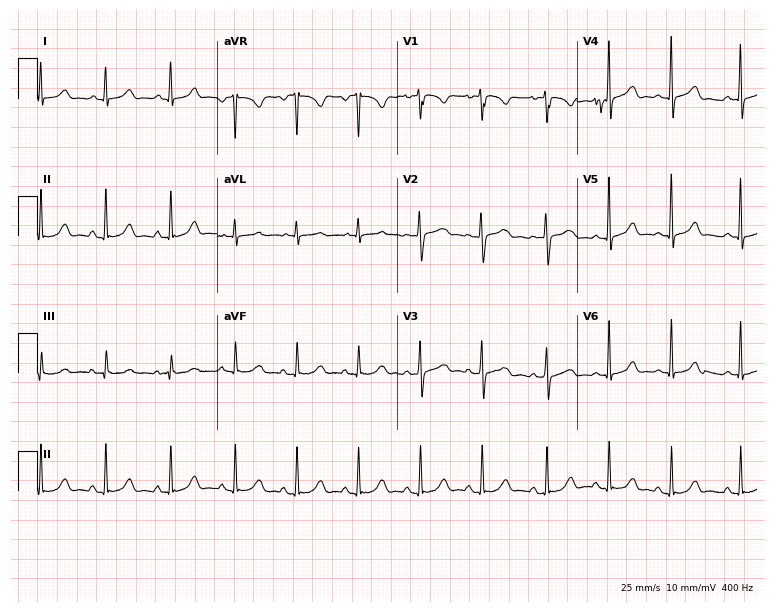
ECG — an 18-year-old female. Labelled as a normal ECG.